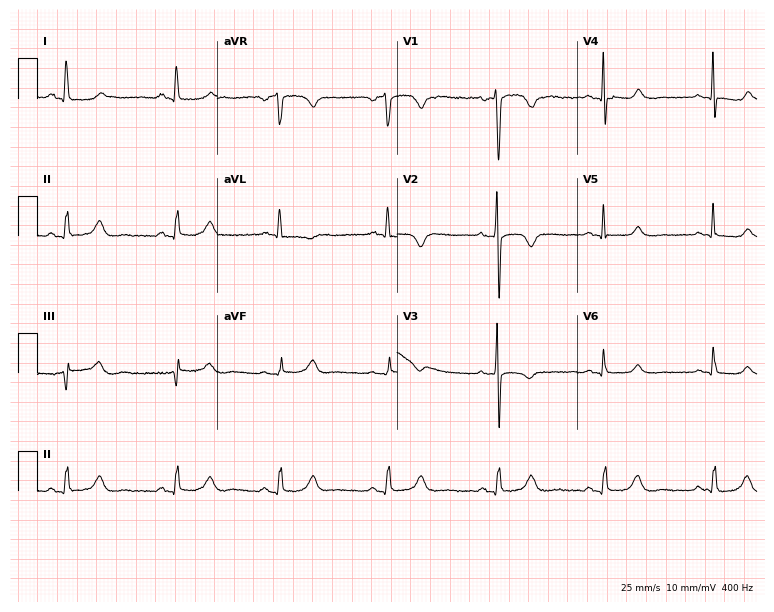
Electrocardiogram (7.3-second recording at 400 Hz), a woman, 56 years old. Interpretation includes sinus bradycardia (a sinus rate of 50 beats per minute or less).